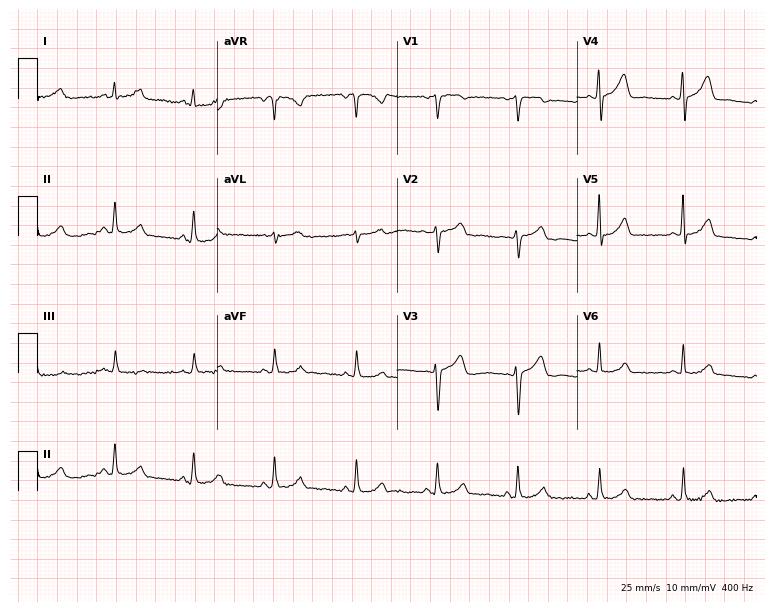
ECG — a 58-year-old female patient. Screened for six findings — first-degree AV block, right bundle branch block (RBBB), left bundle branch block (LBBB), sinus bradycardia, atrial fibrillation (AF), sinus tachycardia — none is recorded. Findings outside these six are not listed.